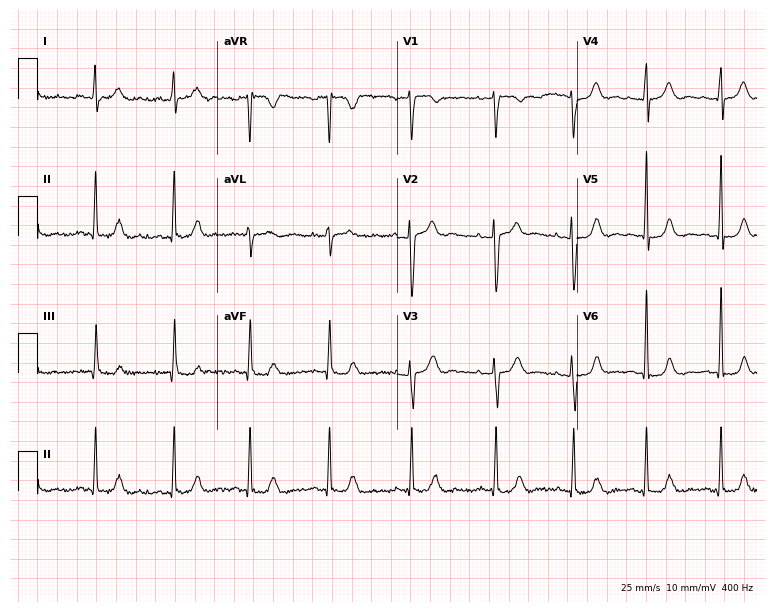
ECG (7.3-second recording at 400 Hz) — a 39-year-old female patient. Labelled as a normal ECG.